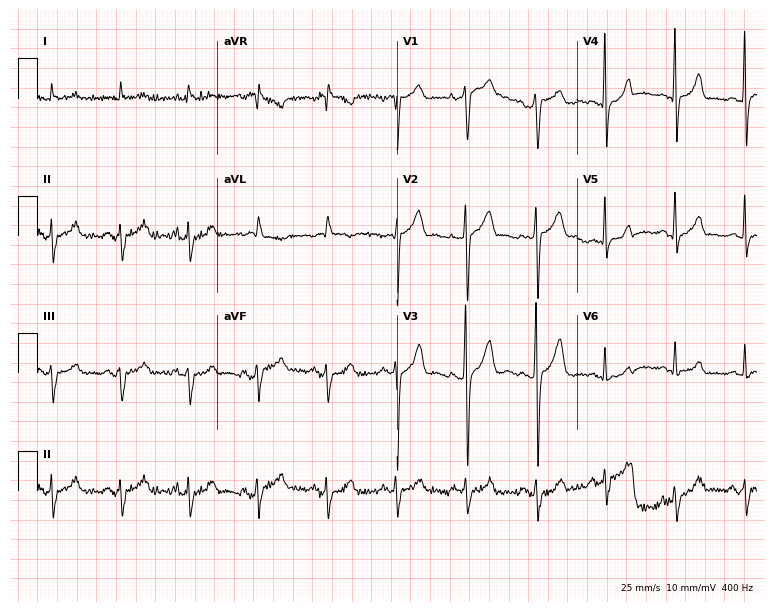
Electrocardiogram, a 63-year-old man. Of the six screened findings (first-degree AV block, right bundle branch block (RBBB), left bundle branch block (LBBB), sinus bradycardia, atrial fibrillation (AF), sinus tachycardia), none is recorded. Only these six findings were labelled.